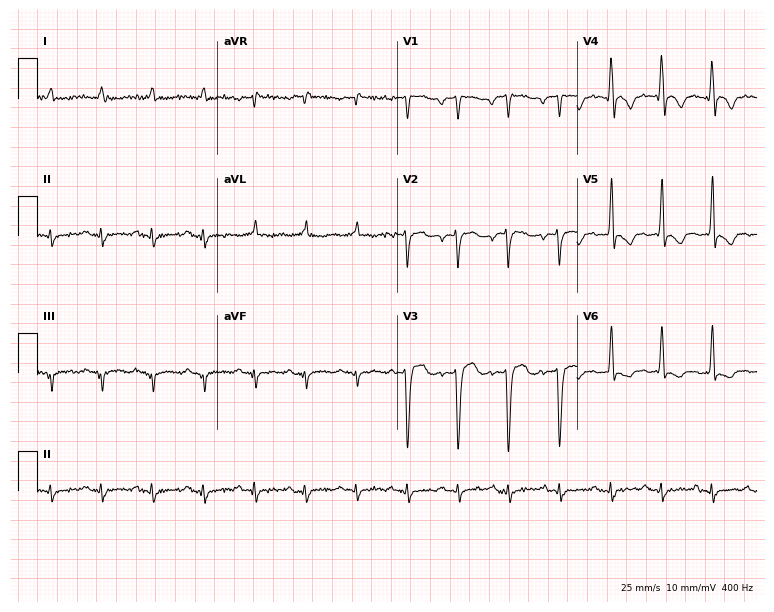
Resting 12-lead electrocardiogram. Patient: a man, 56 years old. The tracing shows sinus tachycardia (a sinus rate of 100 beats per minute or more).